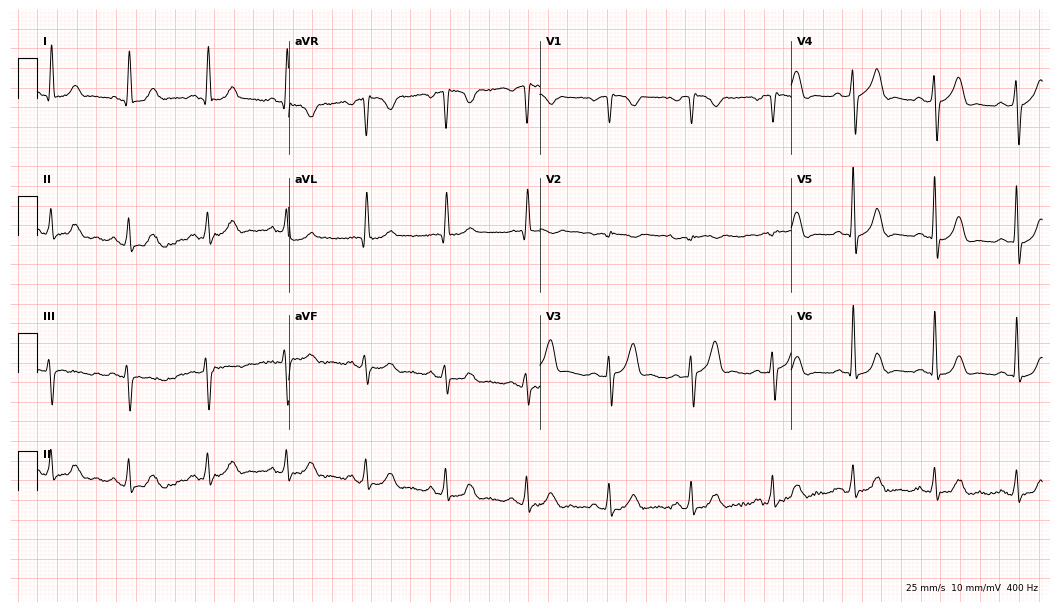
12-lead ECG from a man, 70 years old (10.2-second recording at 400 Hz). Recorded interpretation: within normal limits.